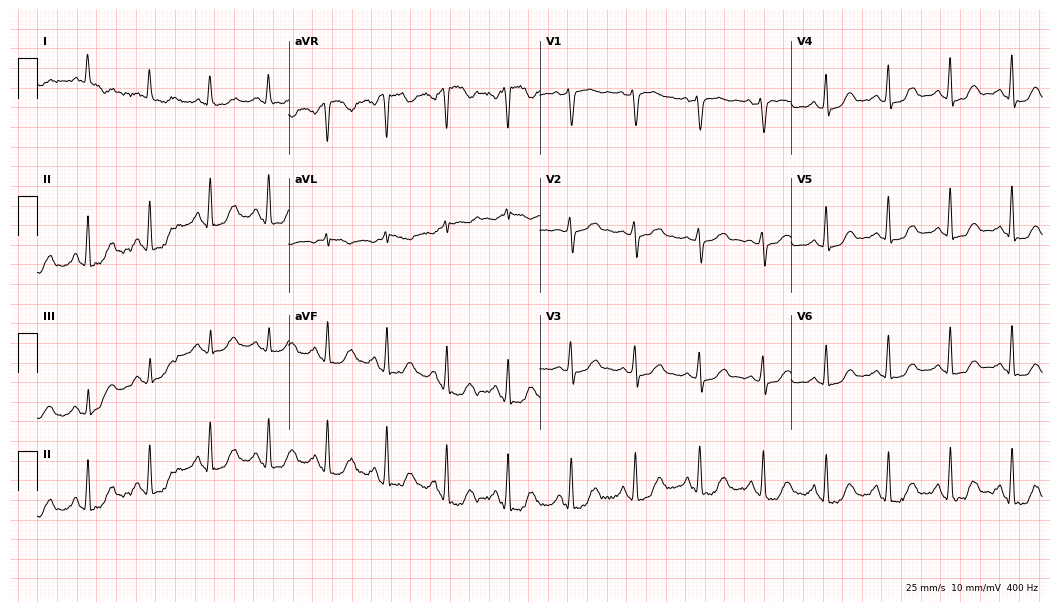
ECG (10.2-second recording at 400 Hz) — a female, 44 years old. Screened for six findings — first-degree AV block, right bundle branch block (RBBB), left bundle branch block (LBBB), sinus bradycardia, atrial fibrillation (AF), sinus tachycardia — none is recorded. Other findings, if any, are not listed.